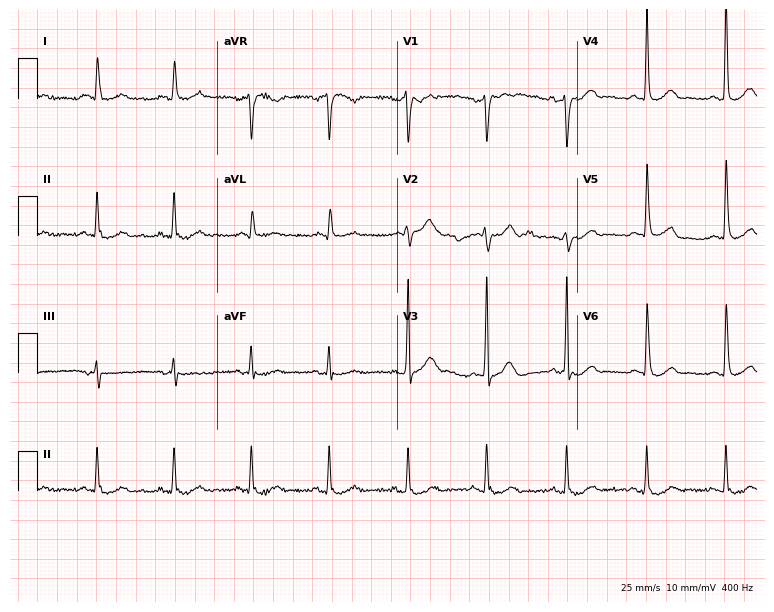
ECG (7.3-second recording at 400 Hz) — a 65-year-old man. Screened for six findings — first-degree AV block, right bundle branch block, left bundle branch block, sinus bradycardia, atrial fibrillation, sinus tachycardia — none is recorded. Other findings, if any, are not listed.